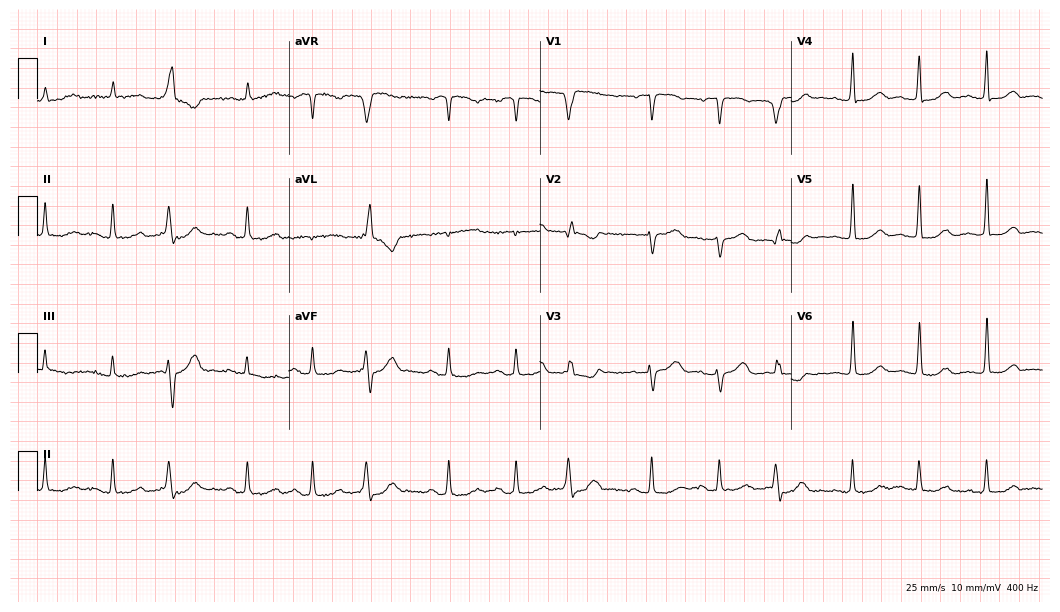
Resting 12-lead electrocardiogram. Patient: an 80-year-old woman. None of these six findings is recorded: first-degree AV block, right bundle branch block (RBBB), left bundle branch block (LBBB), sinus bradycardia, atrial fibrillation (AF), sinus tachycardia.